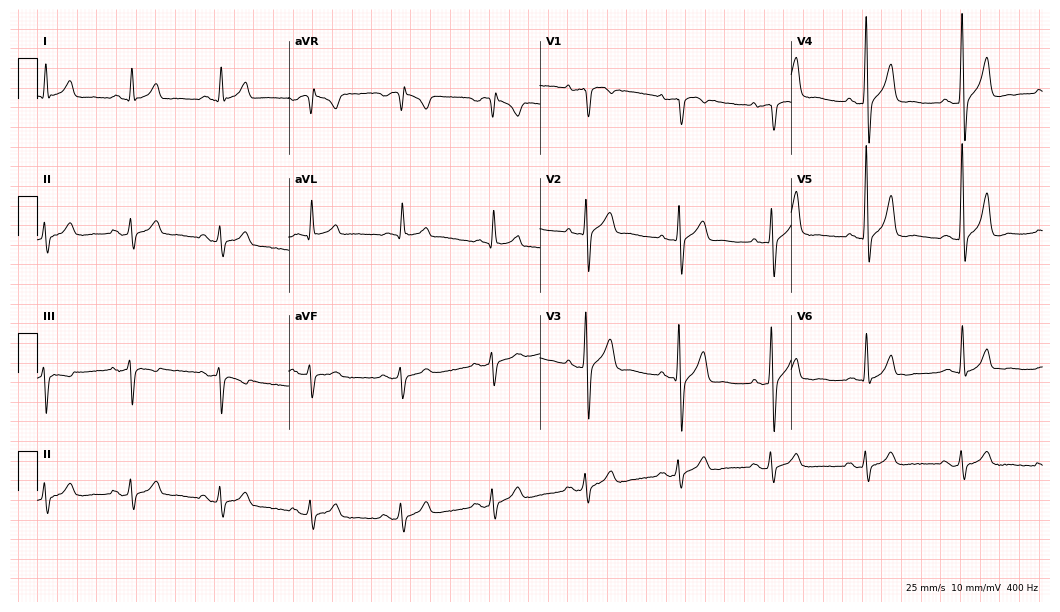
ECG — a man, 71 years old. Labelled as a normal ECG.